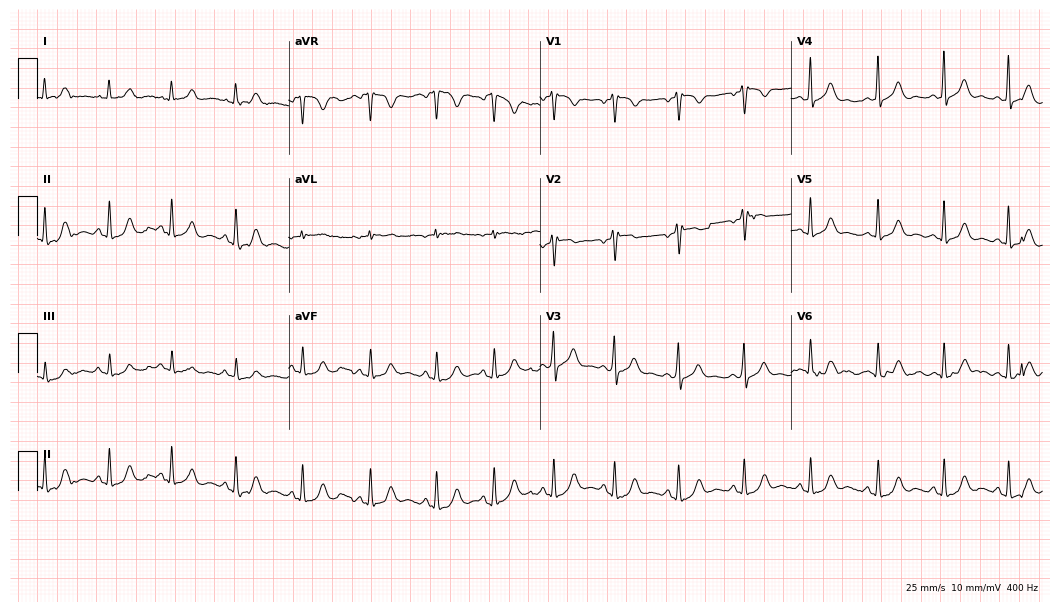
Resting 12-lead electrocardiogram (10.2-second recording at 400 Hz). Patient: a female, 47 years old. None of these six findings is recorded: first-degree AV block, right bundle branch block, left bundle branch block, sinus bradycardia, atrial fibrillation, sinus tachycardia. Only these six findings were labelled.